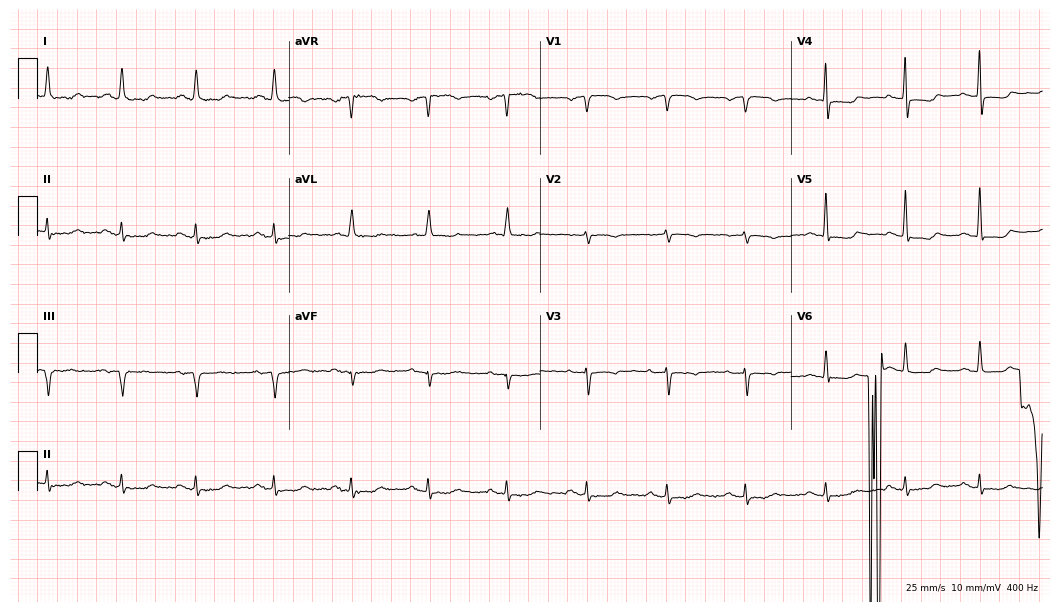
Resting 12-lead electrocardiogram. Patient: a woman, 72 years old. None of these six findings is recorded: first-degree AV block, right bundle branch block (RBBB), left bundle branch block (LBBB), sinus bradycardia, atrial fibrillation (AF), sinus tachycardia. Other findings, if any, are not listed.